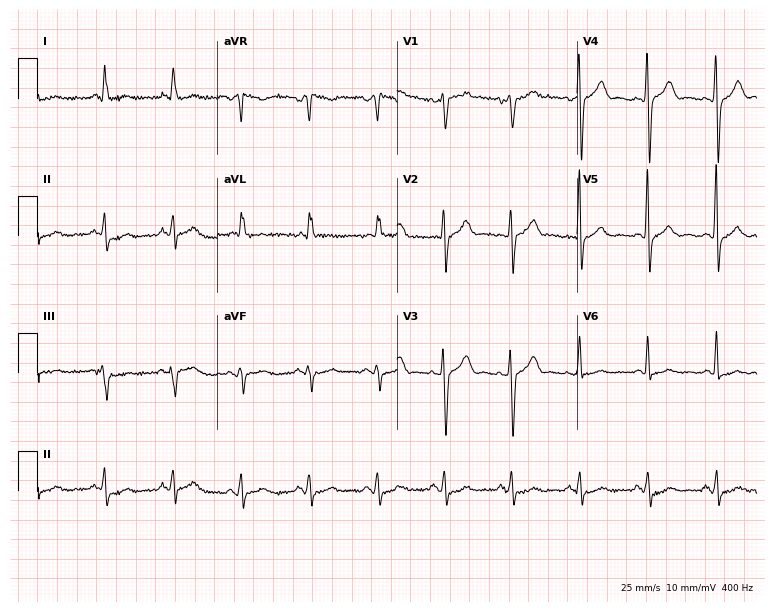
Resting 12-lead electrocardiogram. Patient: a male, 66 years old. None of these six findings is recorded: first-degree AV block, right bundle branch block, left bundle branch block, sinus bradycardia, atrial fibrillation, sinus tachycardia. Findings outside these six are not listed.